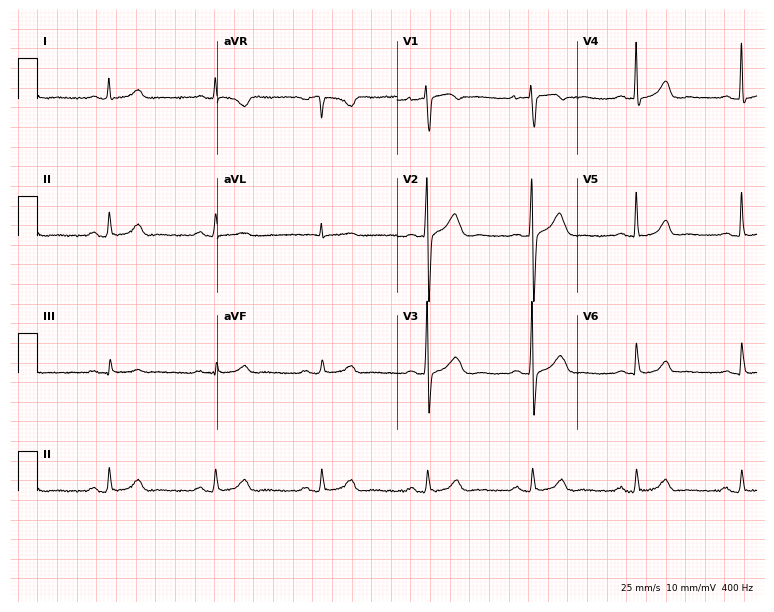
12-lead ECG from a 53-year-old female patient. Recorded interpretation: within normal limits.